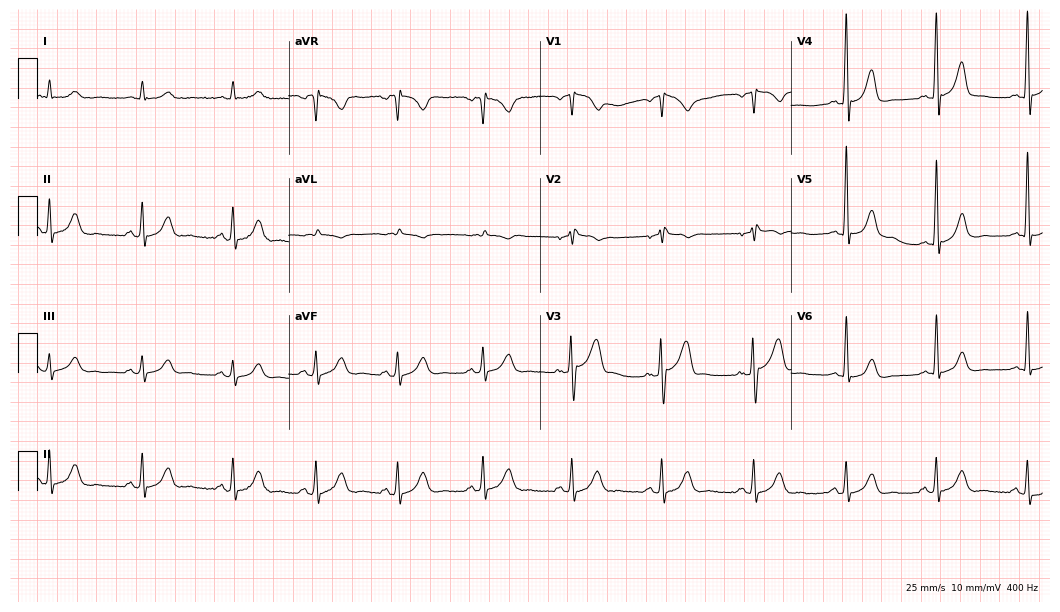
12-lead ECG (10.2-second recording at 400 Hz) from a 75-year-old male patient. Screened for six findings — first-degree AV block, right bundle branch block (RBBB), left bundle branch block (LBBB), sinus bradycardia, atrial fibrillation (AF), sinus tachycardia — none is recorded. Only these six findings were labelled.